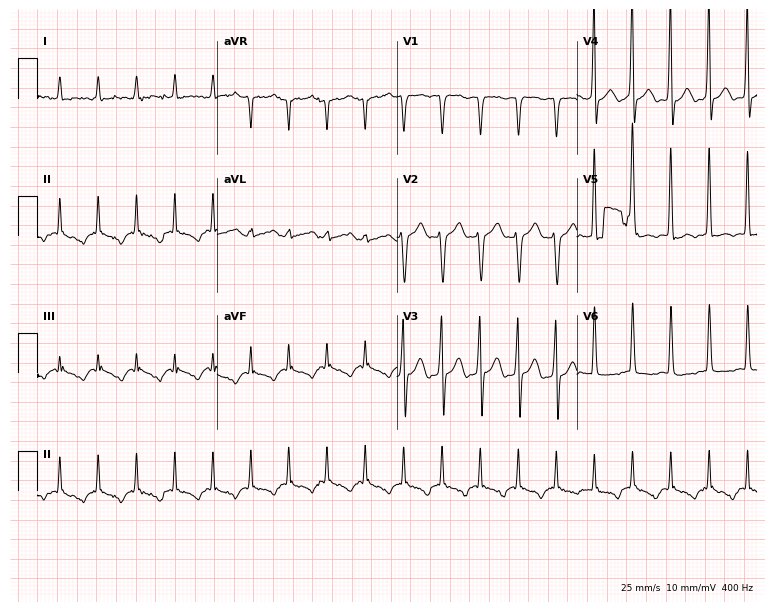
Electrocardiogram (7.3-second recording at 400 Hz), a male patient, 74 years old. Interpretation includes atrial fibrillation.